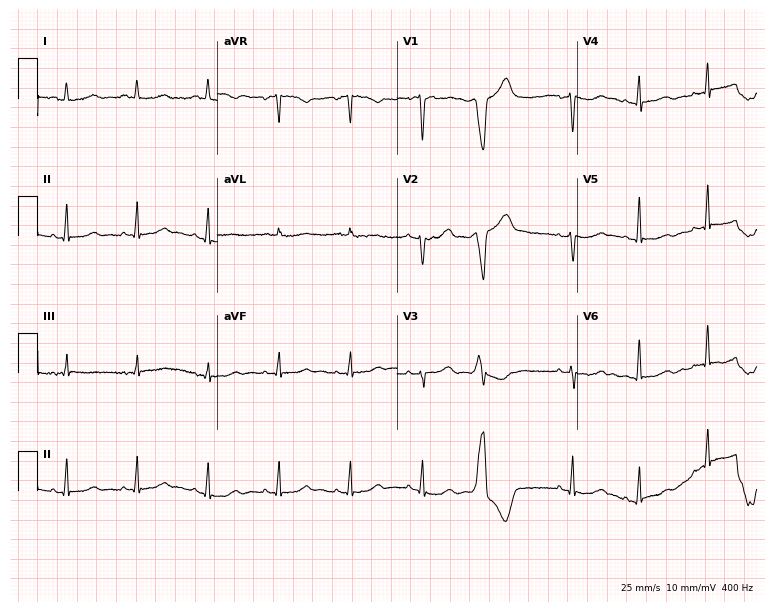
12-lead ECG from a 47-year-old woman. Screened for six findings — first-degree AV block, right bundle branch block (RBBB), left bundle branch block (LBBB), sinus bradycardia, atrial fibrillation (AF), sinus tachycardia — none is recorded. Findings outside these six are not listed.